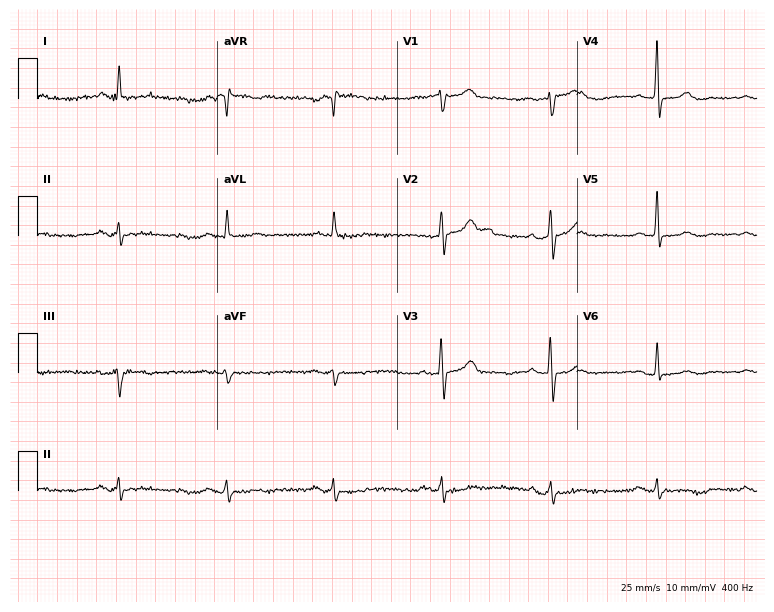
Standard 12-lead ECG recorded from a 69-year-old male patient. None of these six findings is recorded: first-degree AV block, right bundle branch block, left bundle branch block, sinus bradycardia, atrial fibrillation, sinus tachycardia.